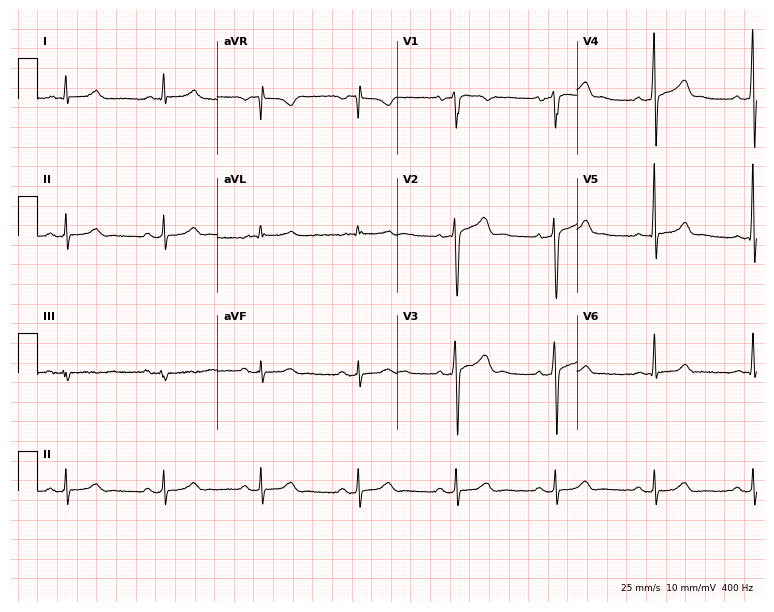
12-lead ECG from a 59-year-old male (7.3-second recording at 400 Hz). Recorded interpretation: within normal limits.